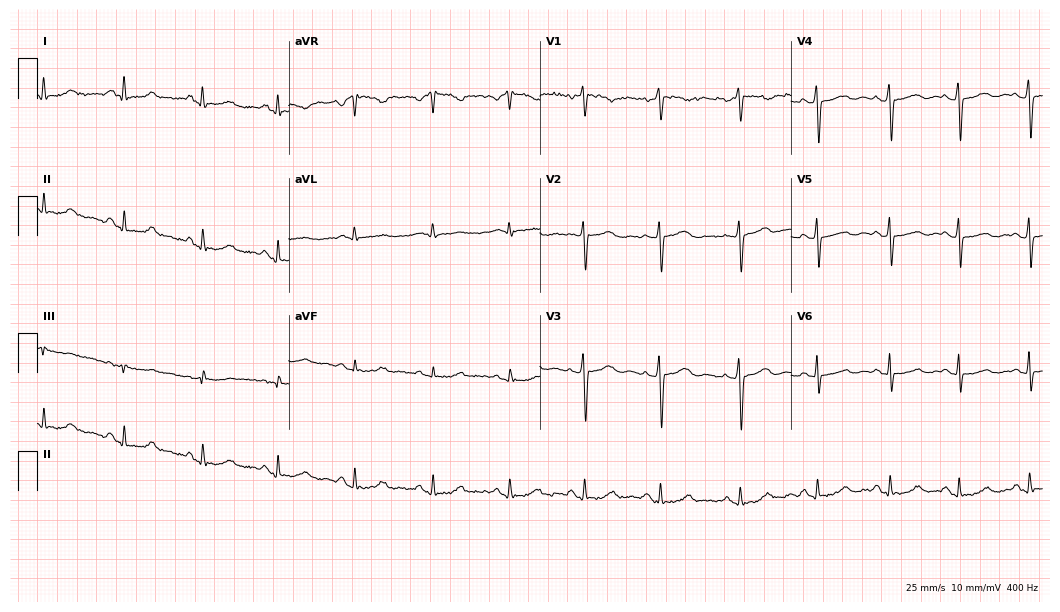
12-lead ECG from a man, 32 years old. Screened for six findings — first-degree AV block, right bundle branch block (RBBB), left bundle branch block (LBBB), sinus bradycardia, atrial fibrillation (AF), sinus tachycardia — none is recorded. Only these six findings were labelled.